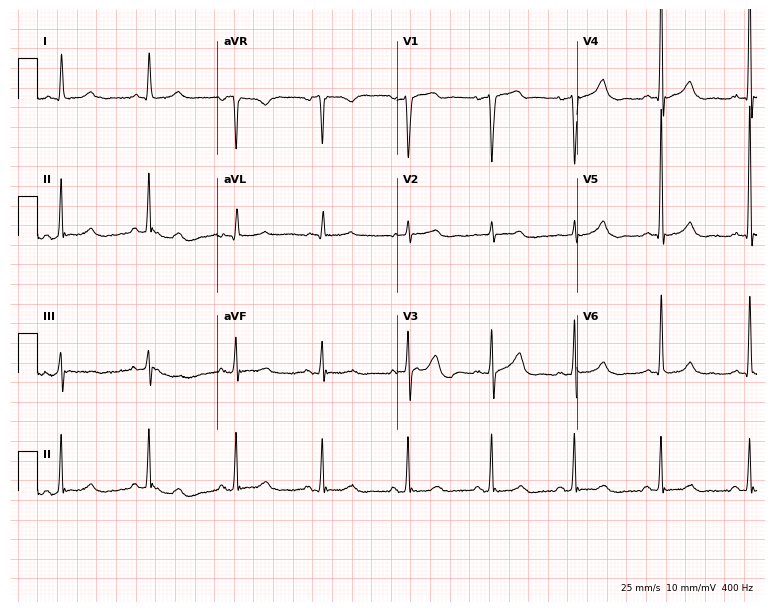
Resting 12-lead electrocardiogram (7.3-second recording at 400 Hz). Patient: a male, 65 years old. Read as a normal ECG.